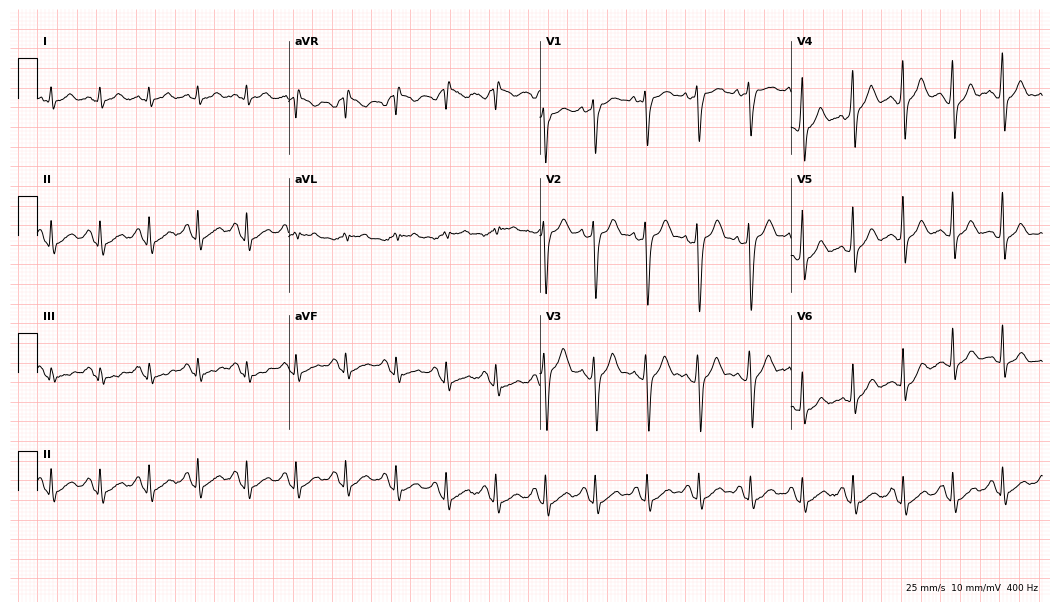
ECG (10.2-second recording at 400 Hz) — a male, 17 years old. Findings include sinus tachycardia (a sinus rate of 100 beats per minute or more).